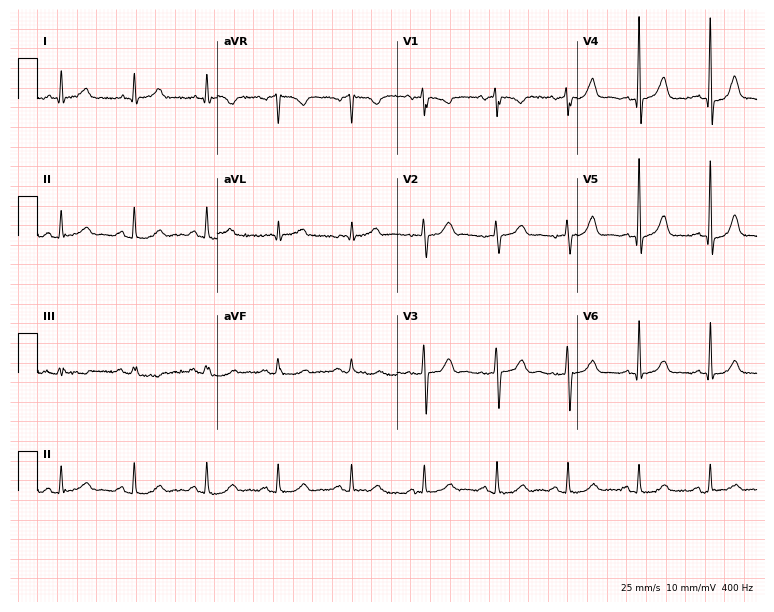
Electrocardiogram (7.3-second recording at 400 Hz), a 65-year-old male. Of the six screened findings (first-degree AV block, right bundle branch block (RBBB), left bundle branch block (LBBB), sinus bradycardia, atrial fibrillation (AF), sinus tachycardia), none is recorded. Only these six findings were labelled.